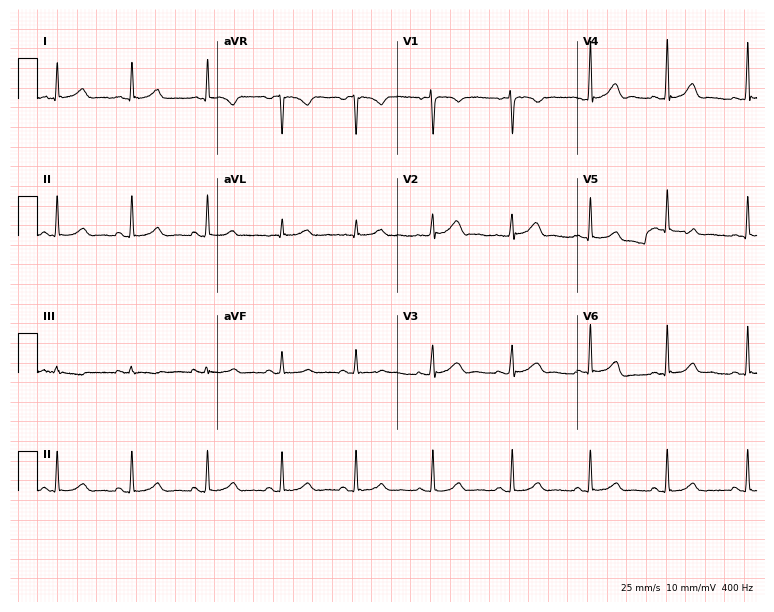
ECG (7.3-second recording at 400 Hz) — a 39-year-old female. Labelled as a normal ECG.